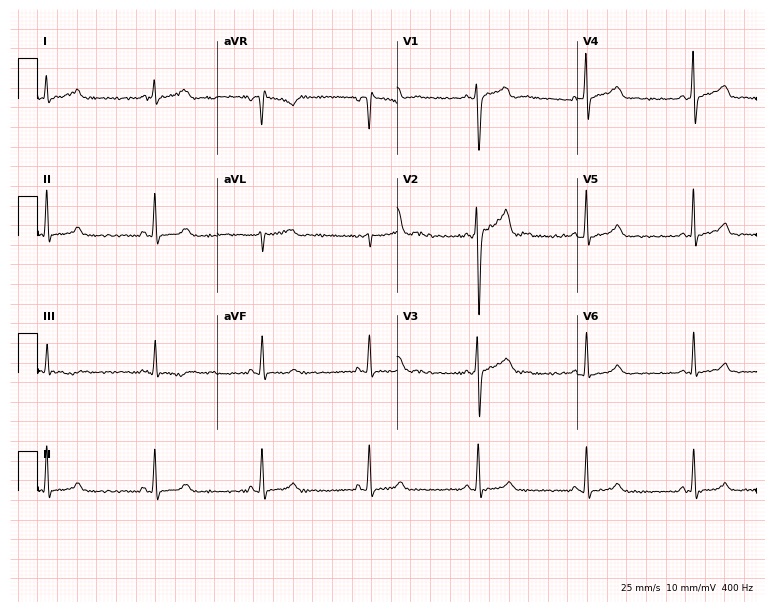
ECG (7.3-second recording at 400 Hz) — a 21-year-old male. Screened for six findings — first-degree AV block, right bundle branch block, left bundle branch block, sinus bradycardia, atrial fibrillation, sinus tachycardia — none is recorded.